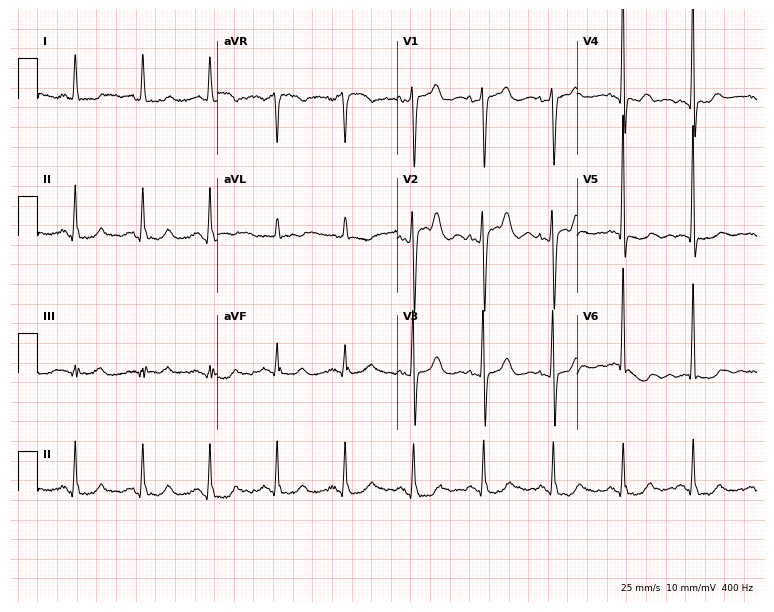
ECG (7.3-second recording at 400 Hz) — a 71-year-old female patient. Screened for six findings — first-degree AV block, right bundle branch block (RBBB), left bundle branch block (LBBB), sinus bradycardia, atrial fibrillation (AF), sinus tachycardia — none is recorded. Findings outside these six are not listed.